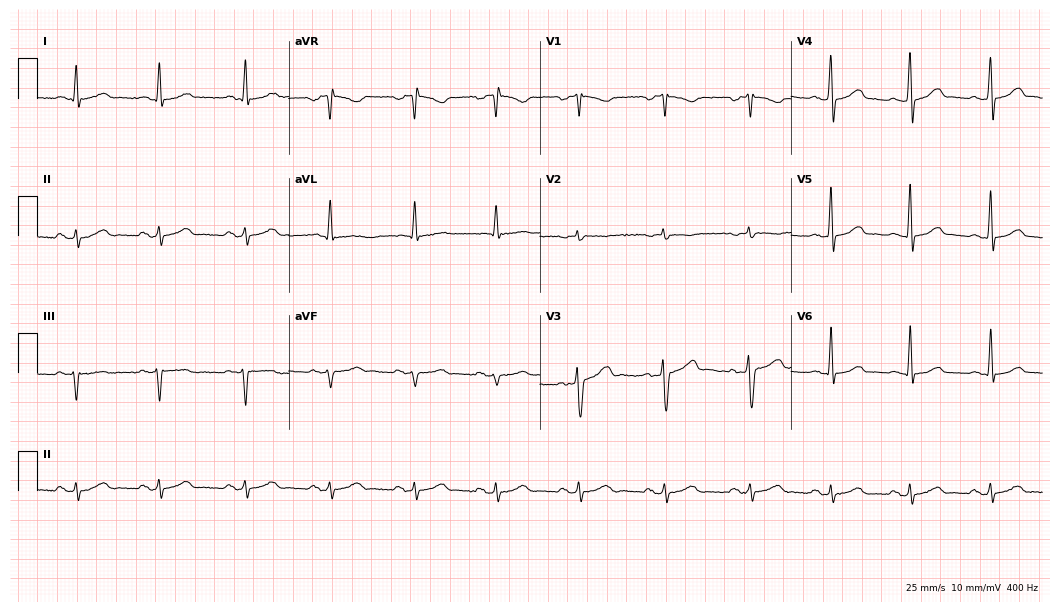
Electrocardiogram, a male, 34 years old. Overall reading on record: normal ECG.